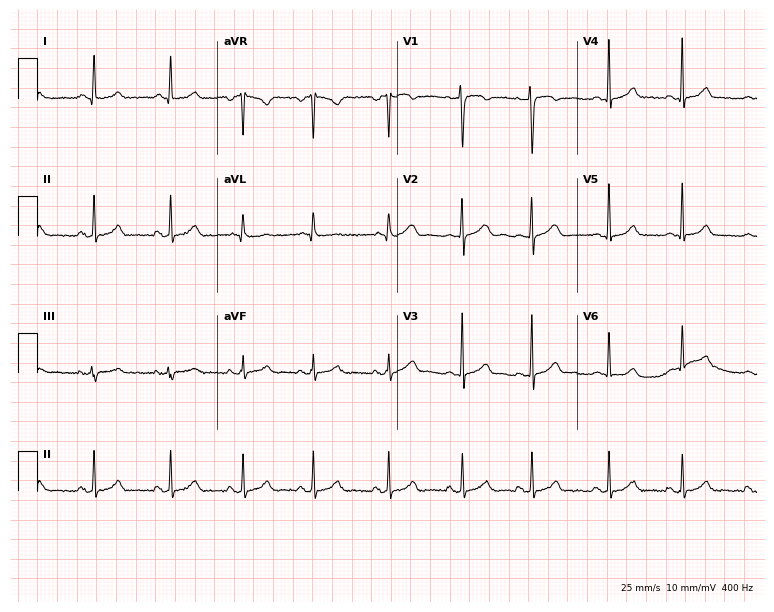
Resting 12-lead electrocardiogram. Patient: a 23-year-old woman. None of these six findings is recorded: first-degree AV block, right bundle branch block, left bundle branch block, sinus bradycardia, atrial fibrillation, sinus tachycardia. Findings outside these six are not listed.